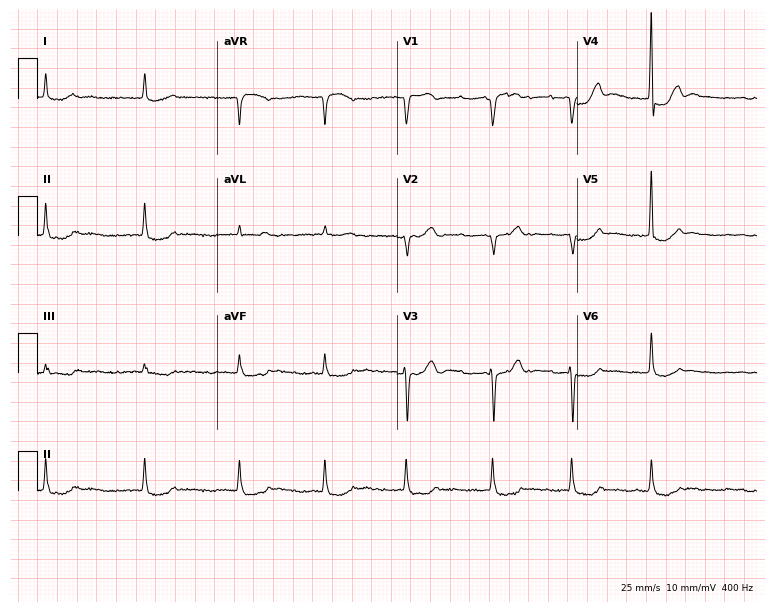
12-lead ECG from a female, 79 years old. Shows atrial fibrillation.